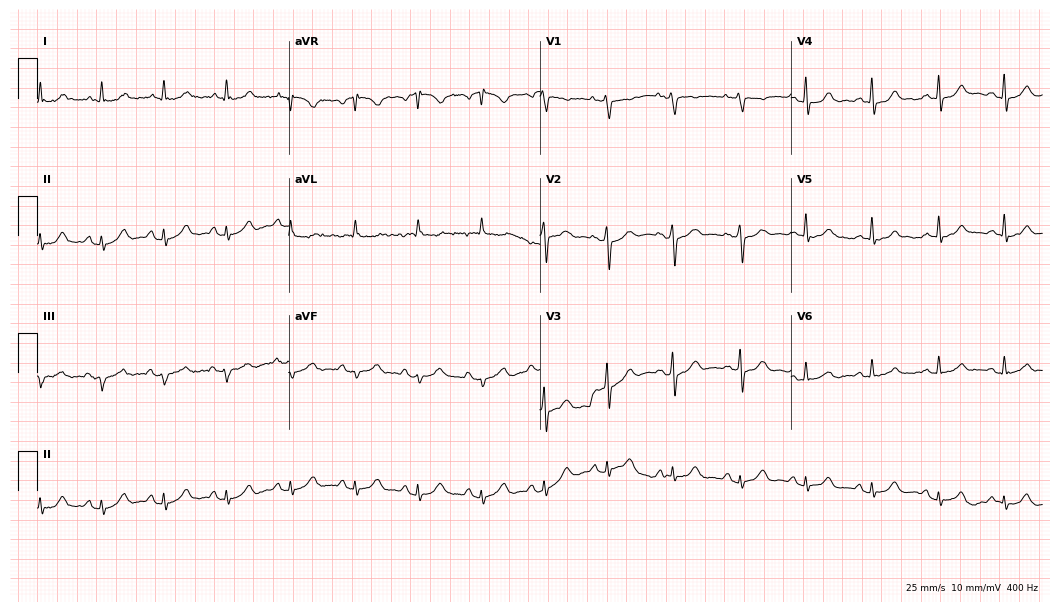
ECG (10.2-second recording at 400 Hz) — a woman, 62 years old. Screened for six findings — first-degree AV block, right bundle branch block (RBBB), left bundle branch block (LBBB), sinus bradycardia, atrial fibrillation (AF), sinus tachycardia — none is recorded. Only these six findings were labelled.